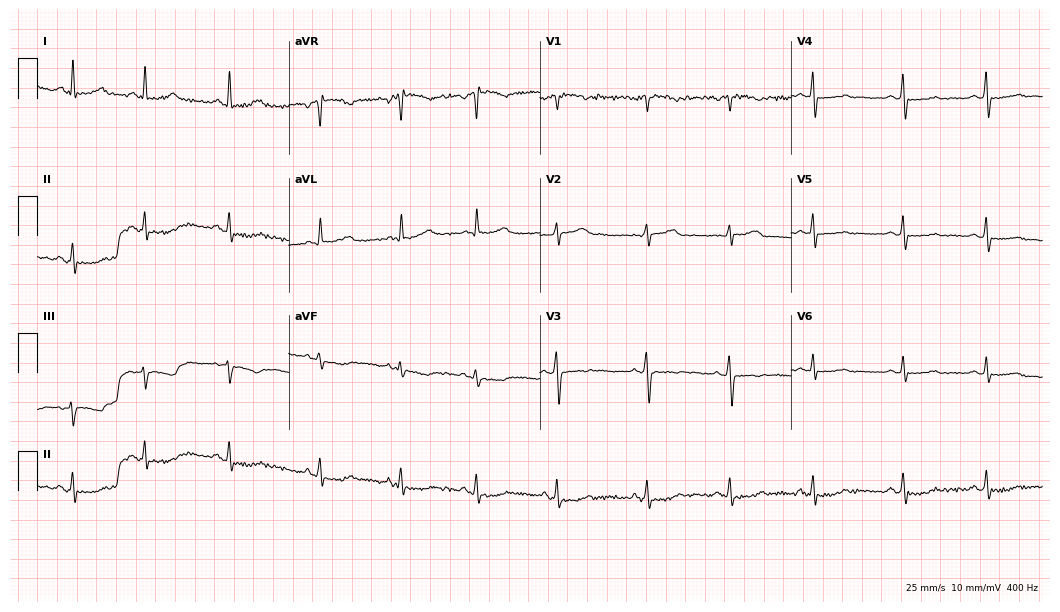
Resting 12-lead electrocardiogram (10.2-second recording at 400 Hz). Patient: a 43-year-old woman. None of these six findings is recorded: first-degree AV block, right bundle branch block, left bundle branch block, sinus bradycardia, atrial fibrillation, sinus tachycardia. Findings outside these six are not listed.